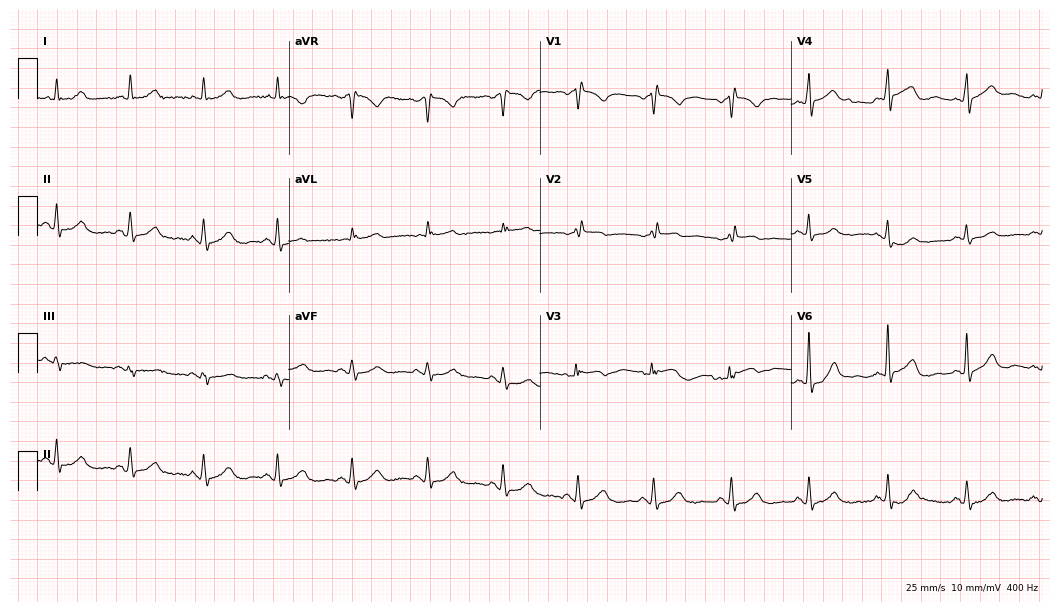
Electrocardiogram (10.2-second recording at 400 Hz), a male, 68 years old. Of the six screened findings (first-degree AV block, right bundle branch block (RBBB), left bundle branch block (LBBB), sinus bradycardia, atrial fibrillation (AF), sinus tachycardia), none is recorded.